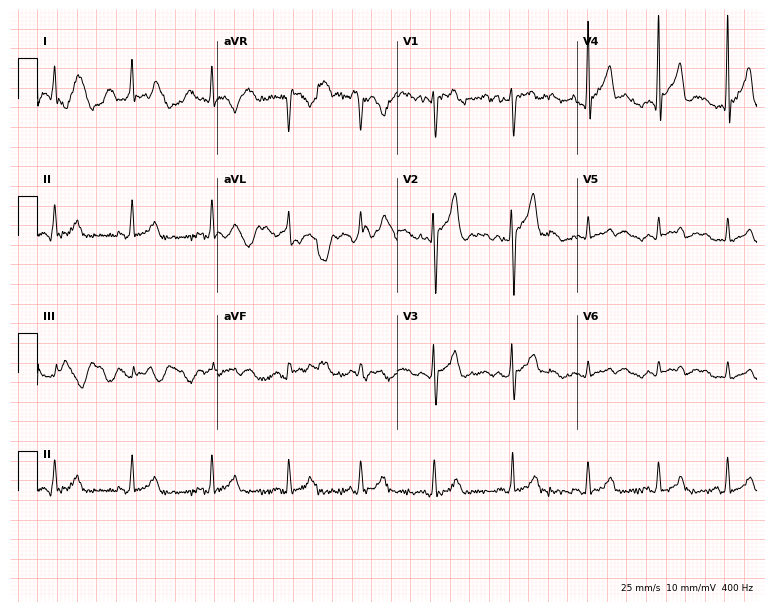
Standard 12-lead ECG recorded from a 20-year-old male patient. None of these six findings is recorded: first-degree AV block, right bundle branch block (RBBB), left bundle branch block (LBBB), sinus bradycardia, atrial fibrillation (AF), sinus tachycardia.